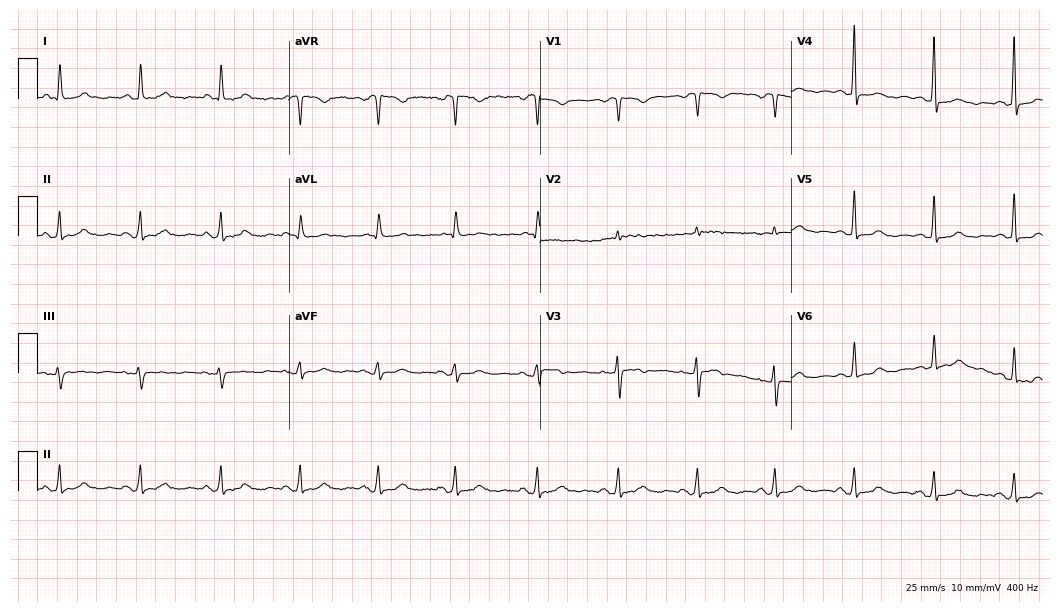
12-lead ECG from a female, 59 years old (10.2-second recording at 400 Hz). Recorded interpretation: within normal limits.